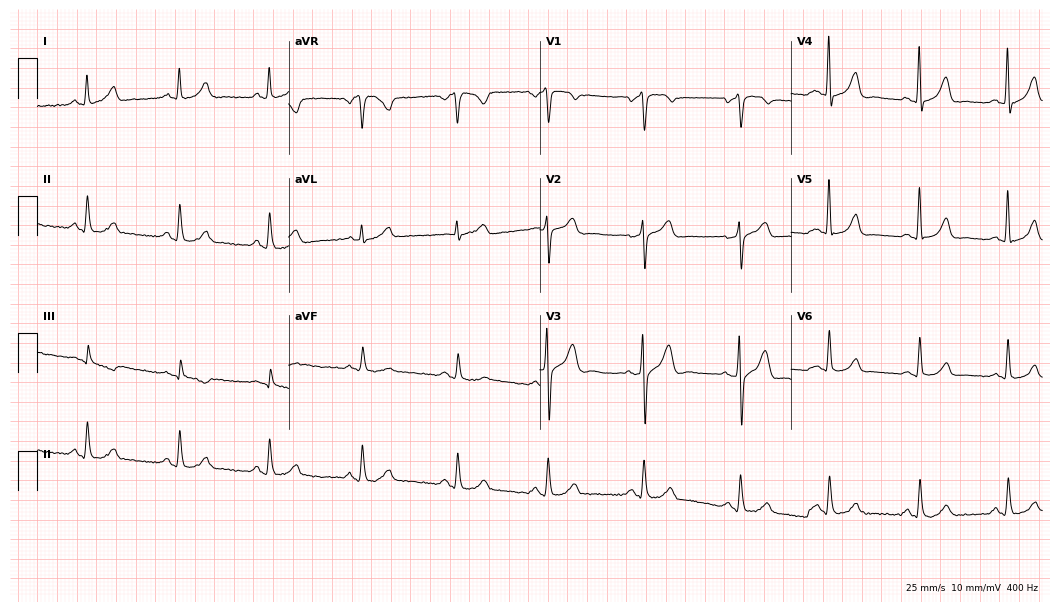
Standard 12-lead ECG recorded from a 55-year-old male patient (10.2-second recording at 400 Hz). Read as a normal ECG.